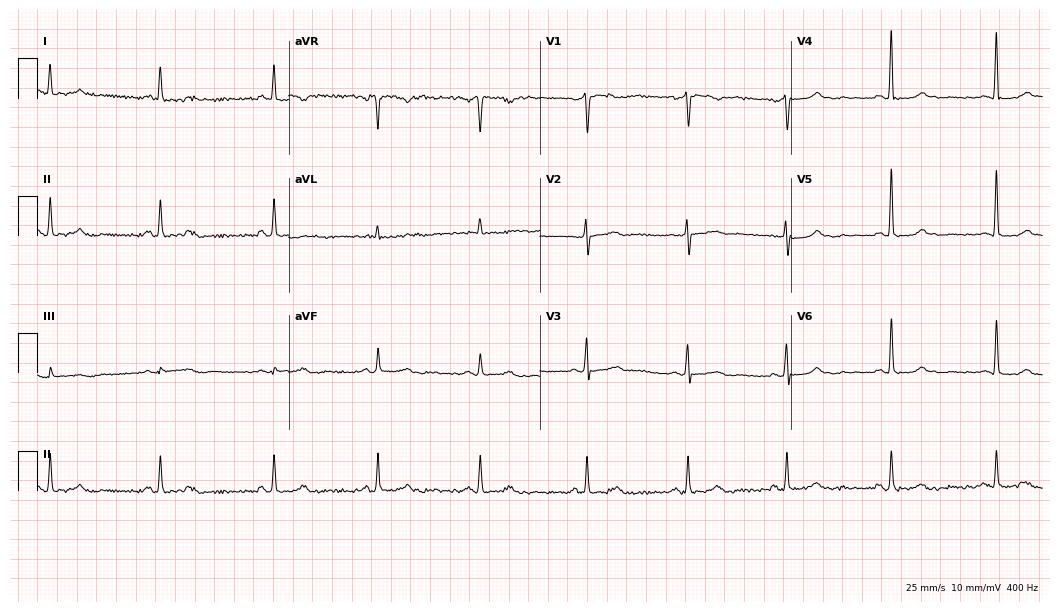
12-lead ECG from a 55-year-old female. Labelled as a normal ECG.